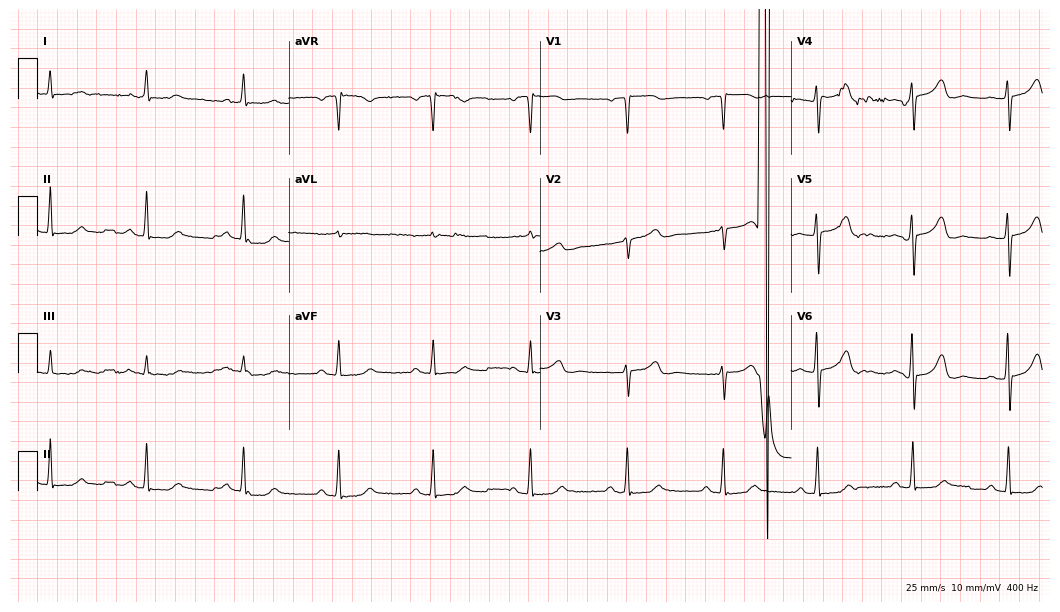
ECG — a female, 80 years old. Screened for six findings — first-degree AV block, right bundle branch block (RBBB), left bundle branch block (LBBB), sinus bradycardia, atrial fibrillation (AF), sinus tachycardia — none is recorded.